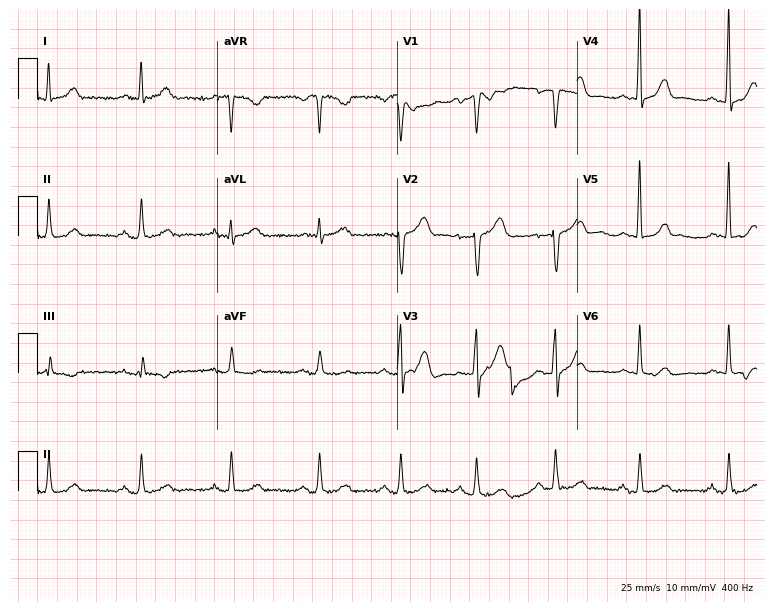
12-lead ECG from a 61-year-old male patient (7.3-second recording at 400 Hz). No first-degree AV block, right bundle branch block (RBBB), left bundle branch block (LBBB), sinus bradycardia, atrial fibrillation (AF) or sinus tachycardia recorded for this tracing. Other findings, if any, are not listed.